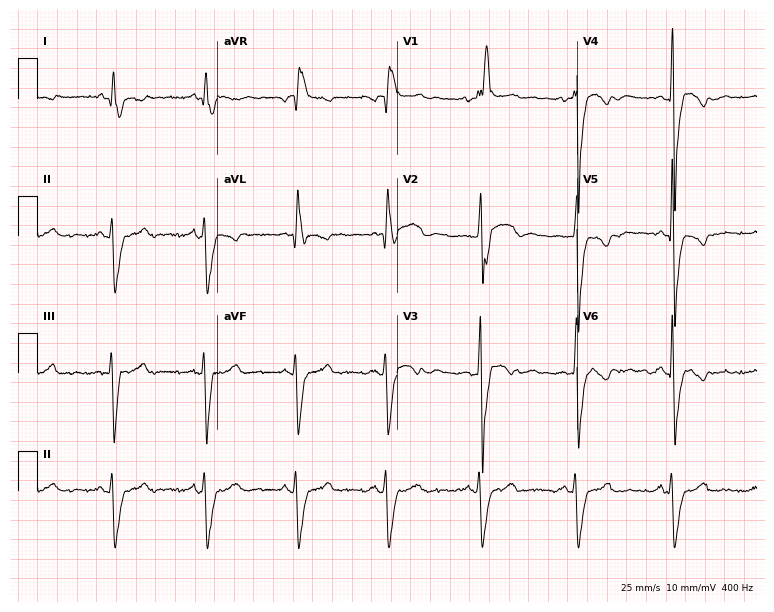
ECG — a man, 56 years old. Findings include right bundle branch block.